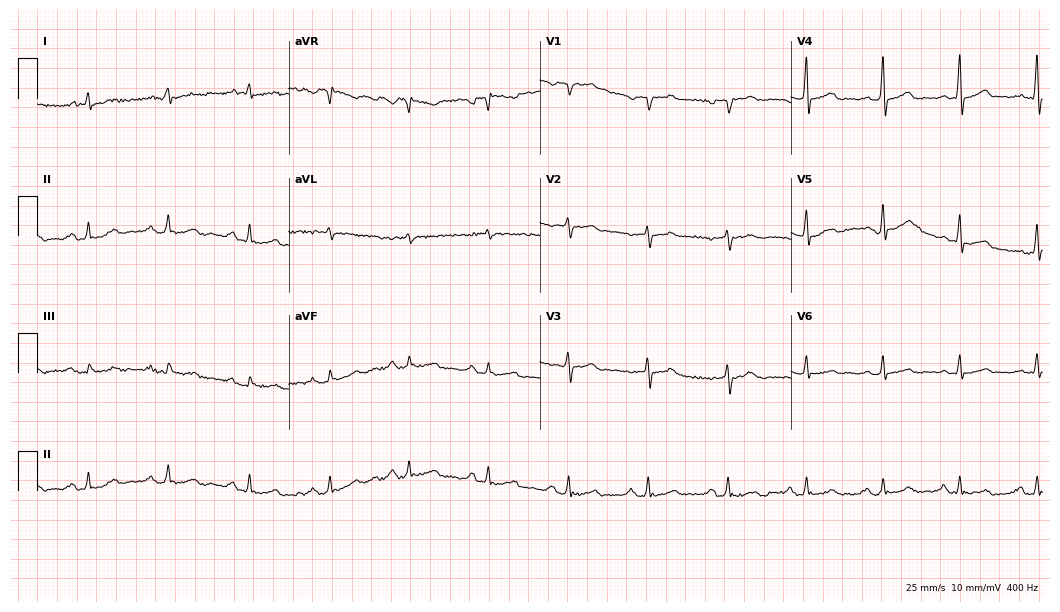
Resting 12-lead electrocardiogram. Patient: a man, 57 years old. None of these six findings is recorded: first-degree AV block, right bundle branch block, left bundle branch block, sinus bradycardia, atrial fibrillation, sinus tachycardia. Only these six findings were labelled.